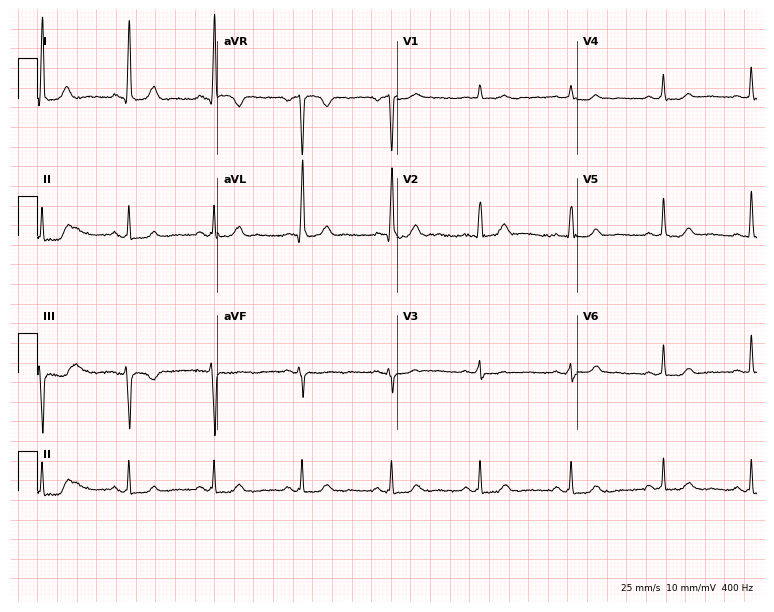
Electrocardiogram, a female patient, 55 years old. Overall reading on record: normal ECG.